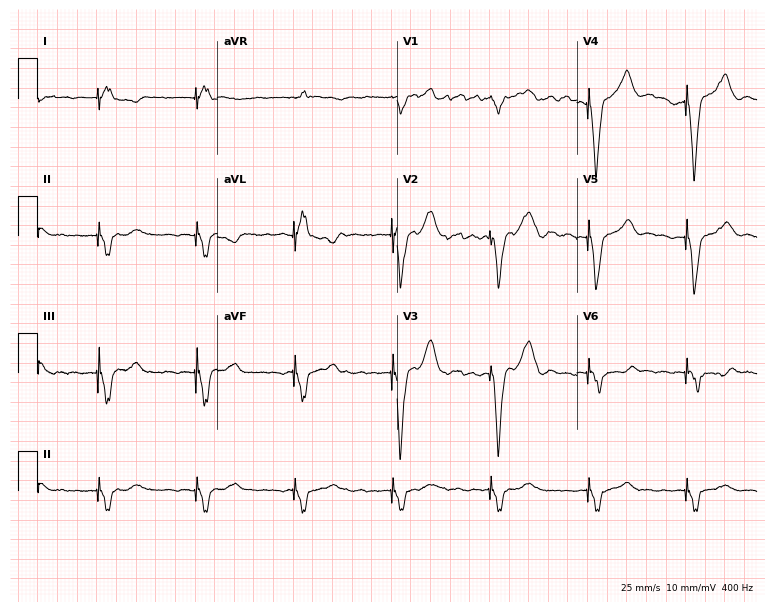
Standard 12-lead ECG recorded from an 82-year-old male (7.3-second recording at 400 Hz). None of these six findings is recorded: first-degree AV block, right bundle branch block (RBBB), left bundle branch block (LBBB), sinus bradycardia, atrial fibrillation (AF), sinus tachycardia.